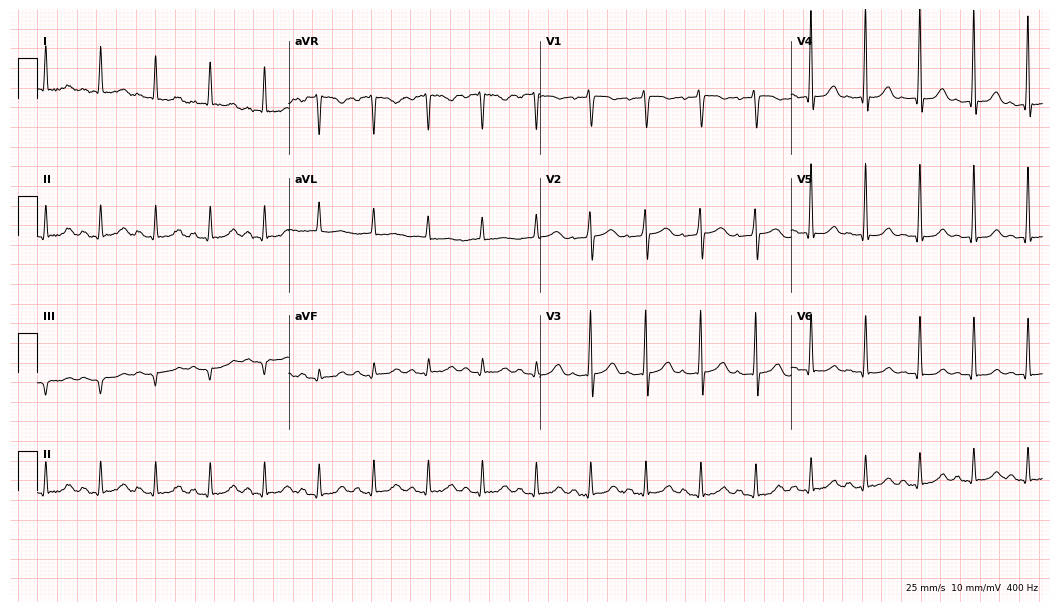
ECG — a female patient, 59 years old. Findings include sinus tachycardia (a sinus rate of 100 beats per minute or more).